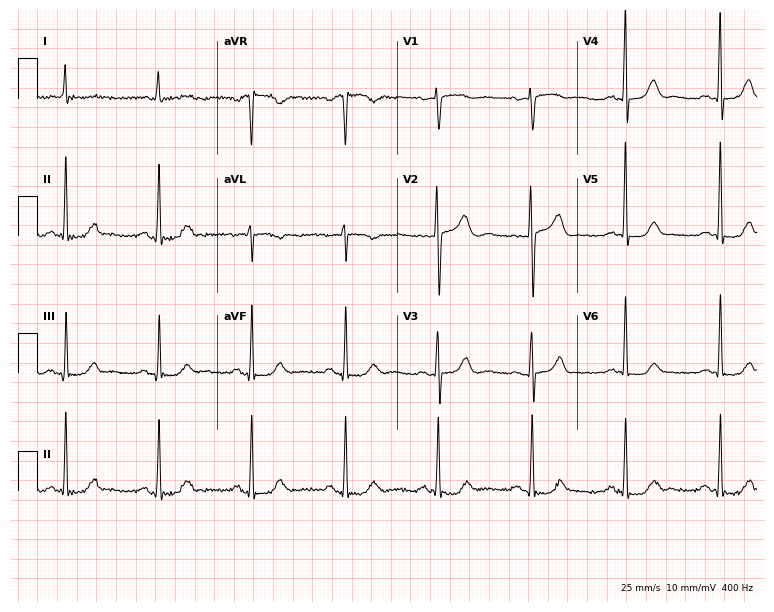
Resting 12-lead electrocardiogram. Patient: a female, 76 years old. Read as a normal ECG.